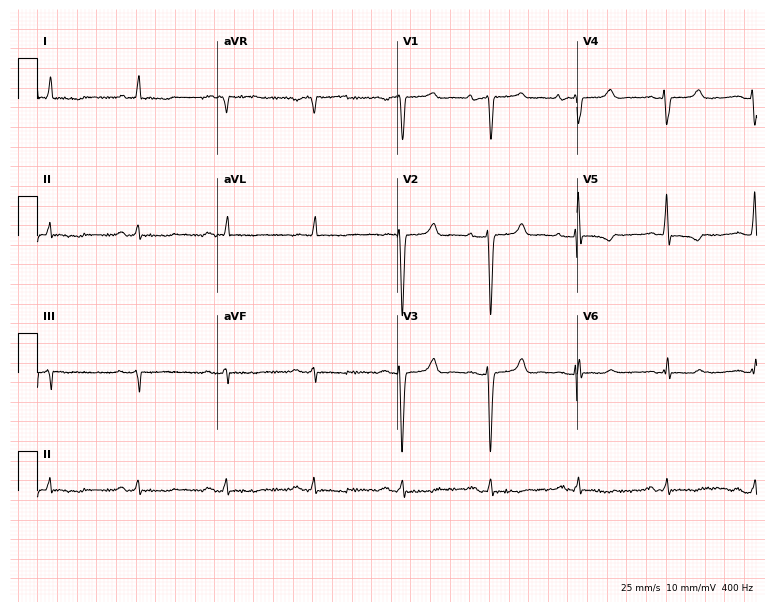
12-lead ECG (7.3-second recording at 400 Hz) from a woman, 59 years old. Screened for six findings — first-degree AV block, right bundle branch block (RBBB), left bundle branch block (LBBB), sinus bradycardia, atrial fibrillation (AF), sinus tachycardia — none is recorded. Findings outside these six are not listed.